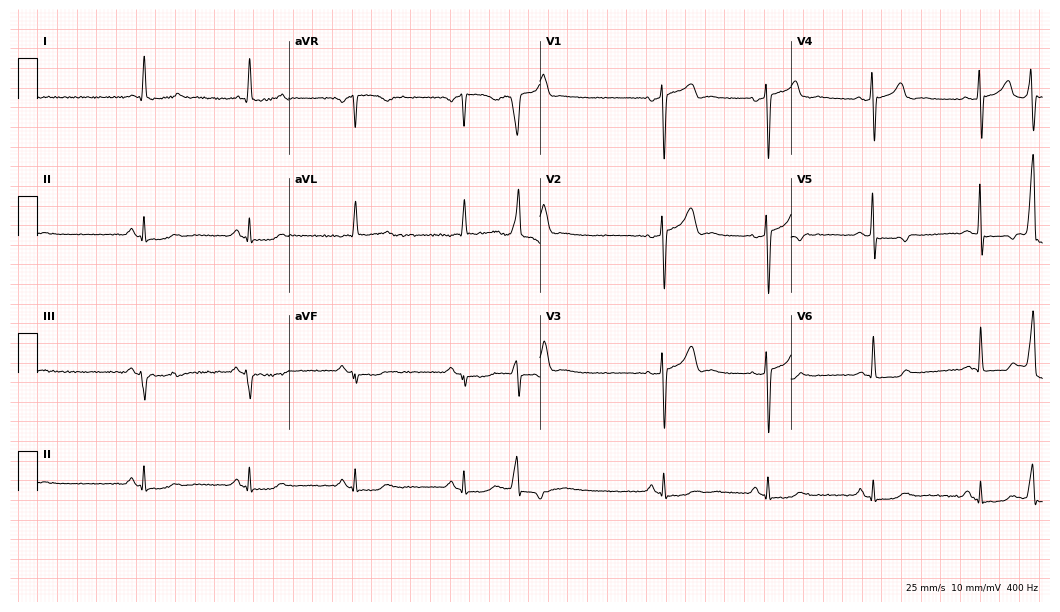
Electrocardiogram (10.2-second recording at 400 Hz), a 63-year-old male. Of the six screened findings (first-degree AV block, right bundle branch block (RBBB), left bundle branch block (LBBB), sinus bradycardia, atrial fibrillation (AF), sinus tachycardia), none is recorded. Only these six findings were labelled.